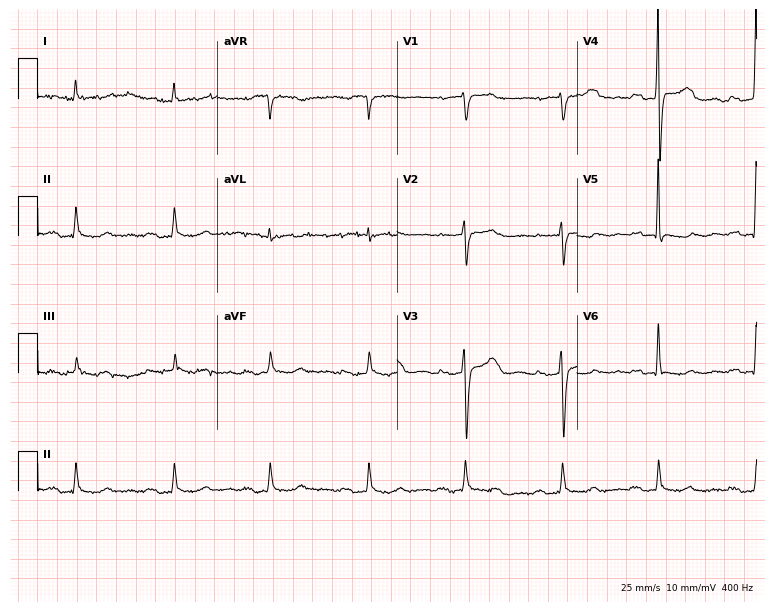
12-lead ECG from a 70-year-old female. Findings include first-degree AV block.